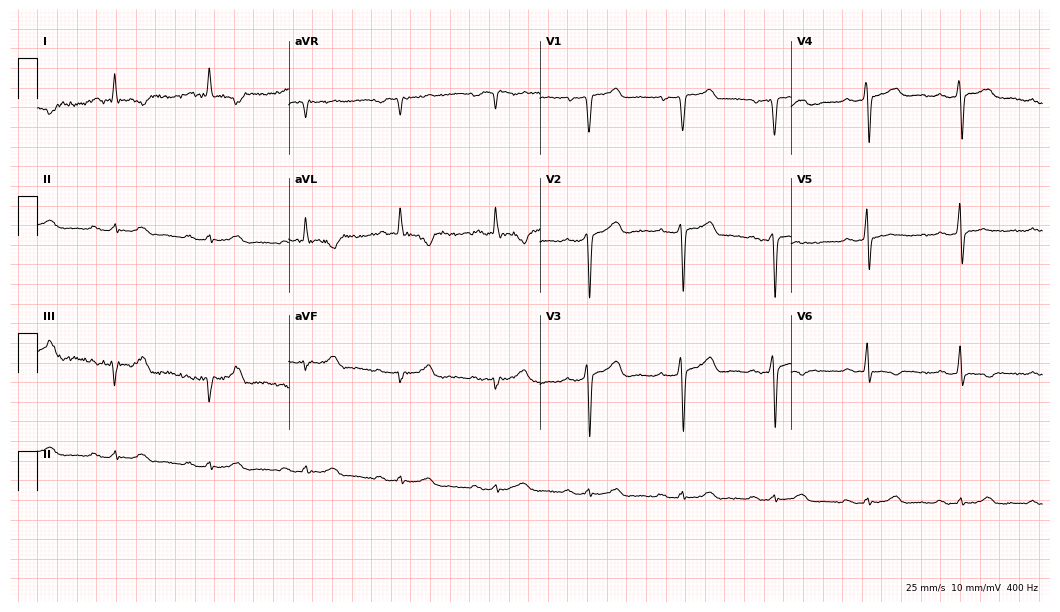
Resting 12-lead electrocardiogram. Patient: a male, 57 years old. None of these six findings is recorded: first-degree AV block, right bundle branch block, left bundle branch block, sinus bradycardia, atrial fibrillation, sinus tachycardia. Other findings, if any, are not listed.